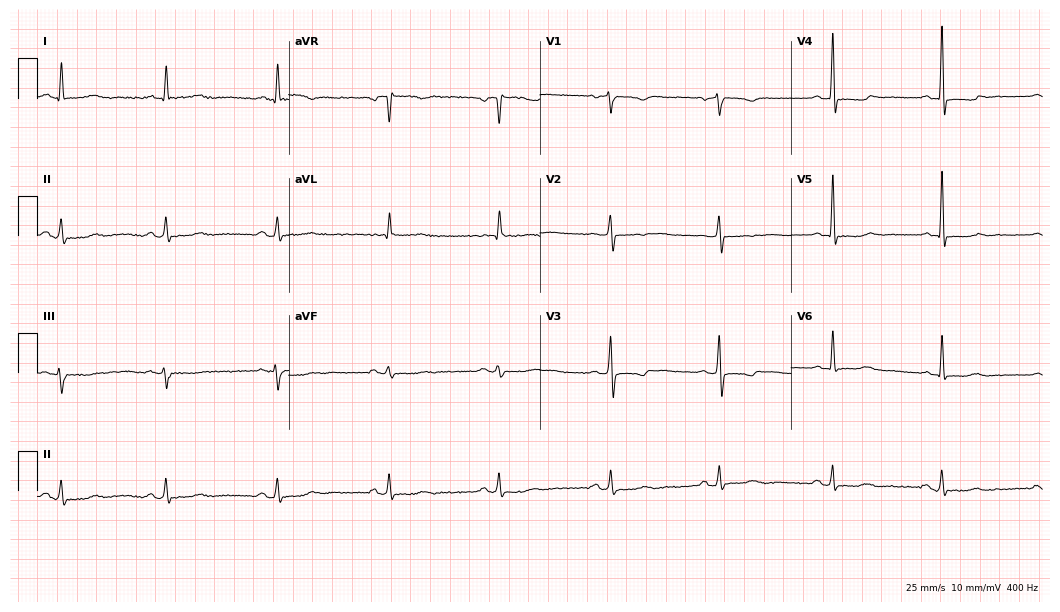
Electrocardiogram, a 66-year-old female. Of the six screened findings (first-degree AV block, right bundle branch block, left bundle branch block, sinus bradycardia, atrial fibrillation, sinus tachycardia), none is recorded.